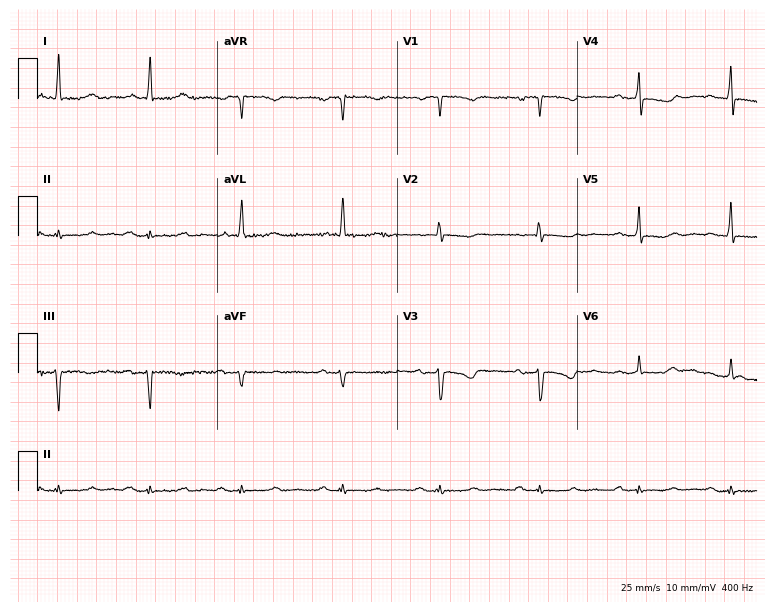
Resting 12-lead electrocardiogram (7.3-second recording at 400 Hz). Patient: a female, 64 years old. The tracing shows first-degree AV block.